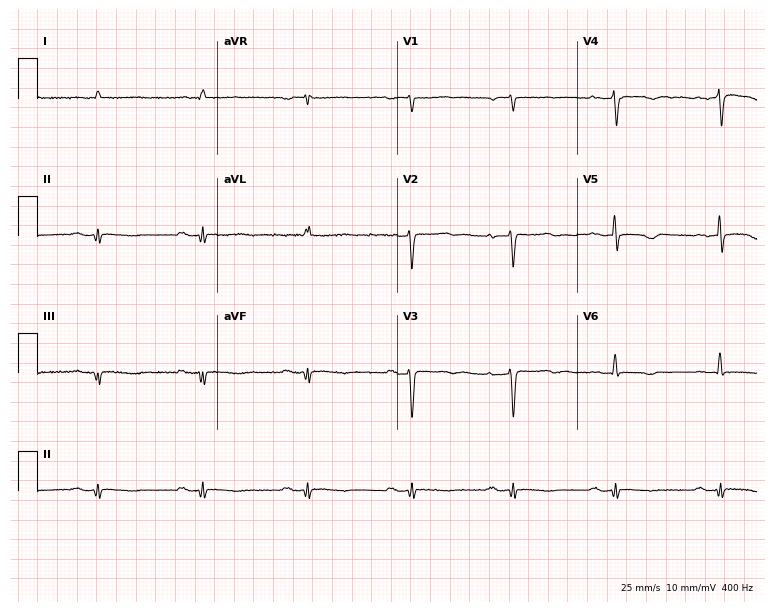
ECG — a woman, 82 years old. Findings include first-degree AV block.